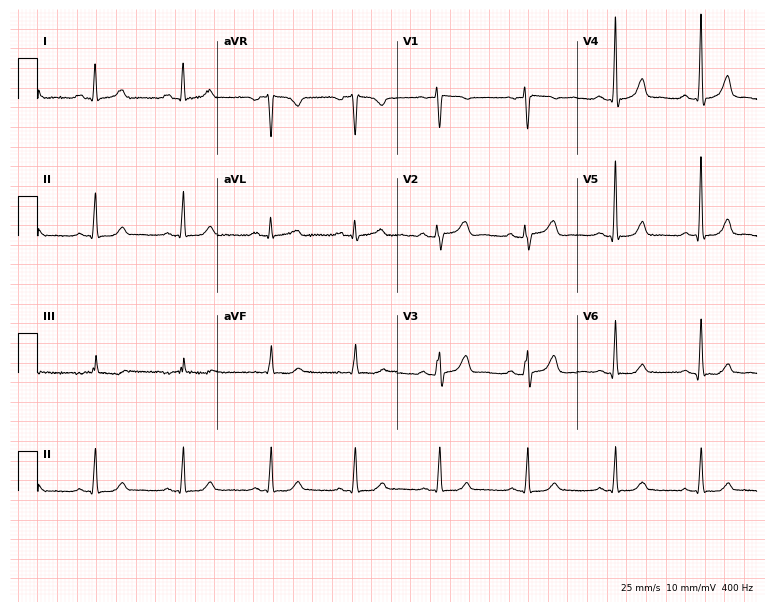
Electrocardiogram (7.3-second recording at 400 Hz), a 57-year-old woman. Of the six screened findings (first-degree AV block, right bundle branch block (RBBB), left bundle branch block (LBBB), sinus bradycardia, atrial fibrillation (AF), sinus tachycardia), none is recorded. Findings outside these six are not listed.